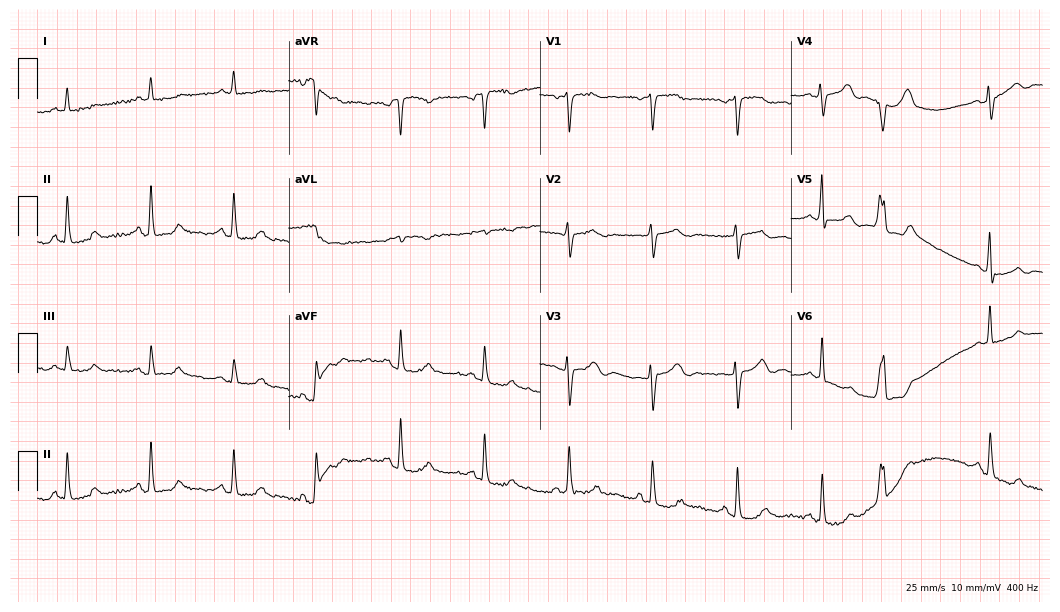
Standard 12-lead ECG recorded from a female, 78 years old (10.2-second recording at 400 Hz). None of these six findings is recorded: first-degree AV block, right bundle branch block, left bundle branch block, sinus bradycardia, atrial fibrillation, sinus tachycardia.